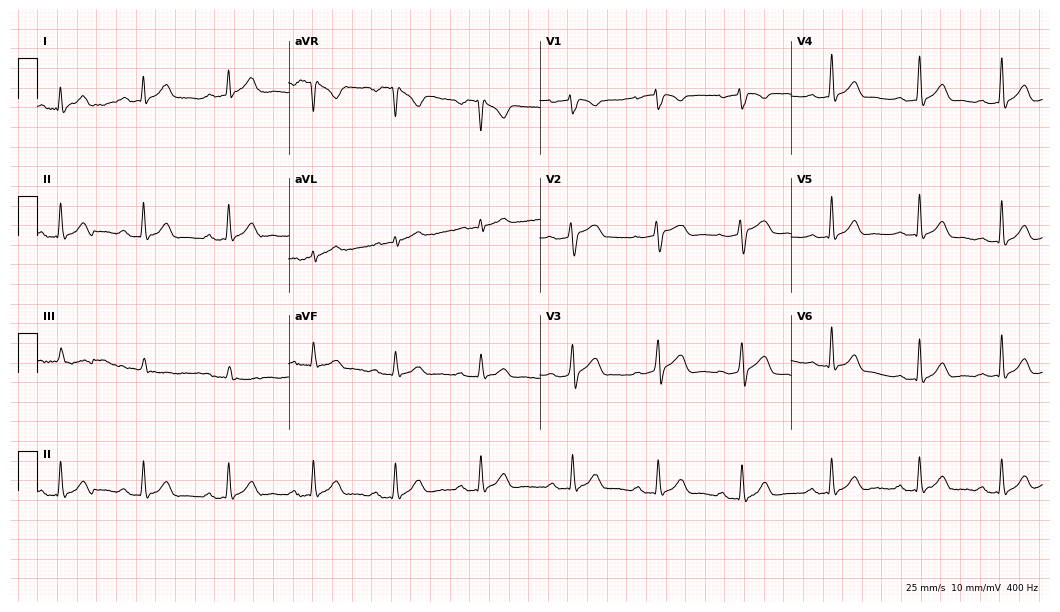
ECG — a male, 34 years old. Screened for six findings — first-degree AV block, right bundle branch block, left bundle branch block, sinus bradycardia, atrial fibrillation, sinus tachycardia — none is recorded. Findings outside these six are not listed.